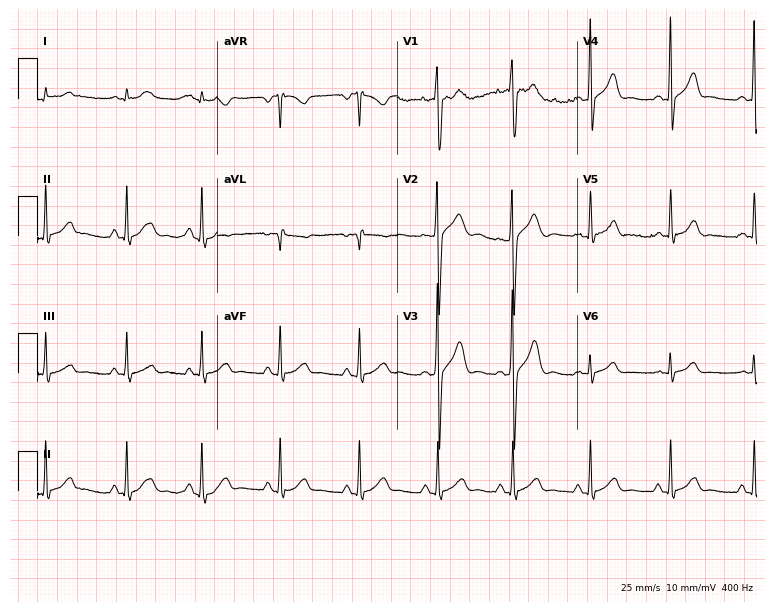
Resting 12-lead electrocardiogram (7.3-second recording at 400 Hz). Patient: a 29-year-old male. Read as a normal ECG.